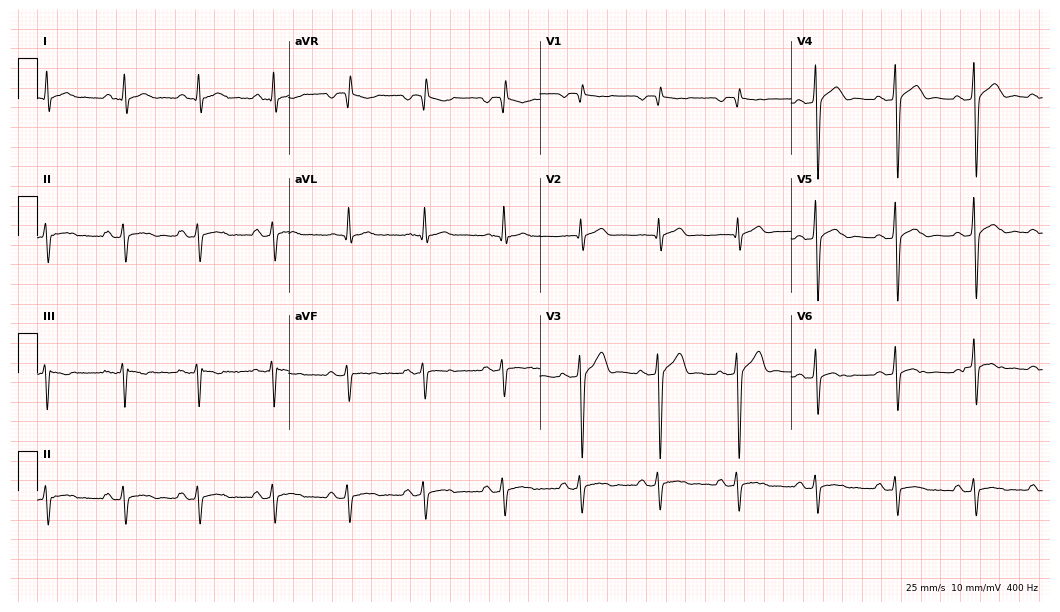
12-lead ECG from a man, 56 years old. No first-degree AV block, right bundle branch block (RBBB), left bundle branch block (LBBB), sinus bradycardia, atrial fibrillation (AF) or sinus tachycardia recorded for this tracing.